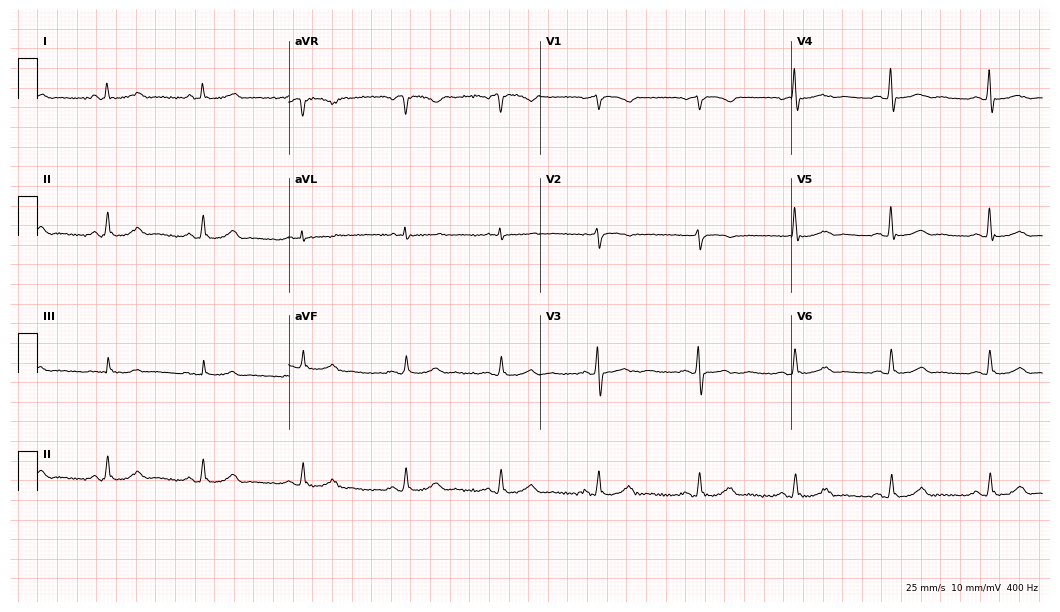
12-lead ECG from a 67-year-old female. Recorded interpretation: within normal limits.